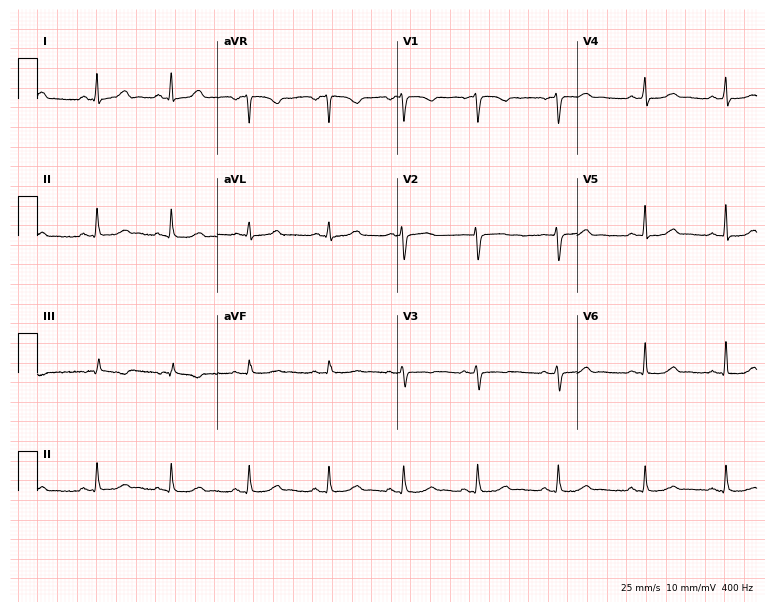
12-lead ECG (7.3-second recording at 400 Hz) from a 37-year-old female patient. Screened for six findings — first-degree AV block, right bundle branch block, left bundle branch block, sinus bradycardia, atrial fibrillation, sinus tachycardia — none is recorded.